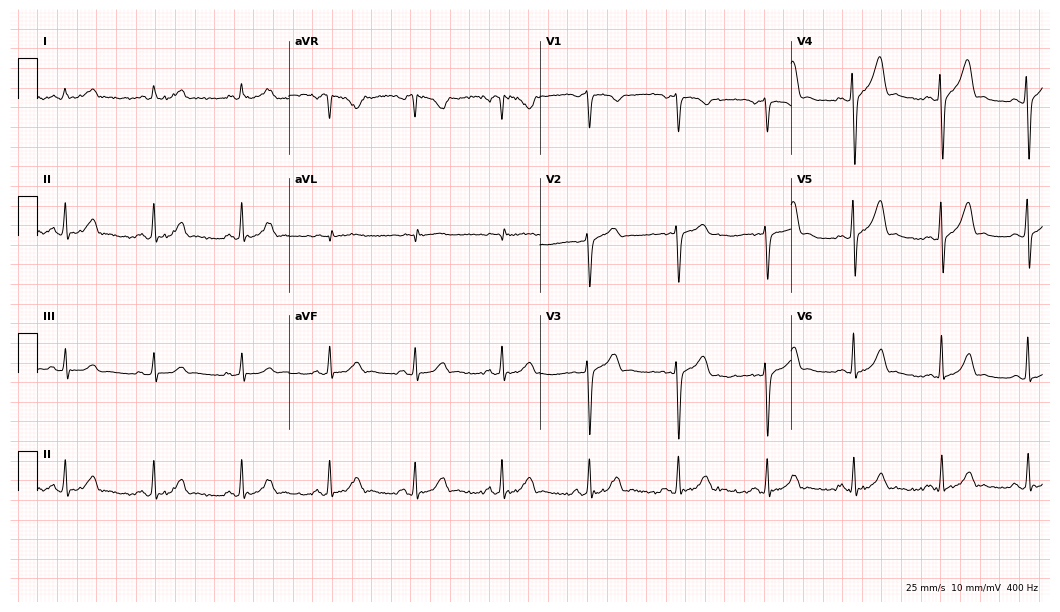
12-lead ECG (10.2-second recording at 400 Hz) from a male patient, 42 years old. Screened for six findings — first-degree AV block, right bundle branch block, left bundle branch block, sinus bradycardia, atrial fibrillation, sinus tachycardia — none is recorded. Findings outside these six are not listed.